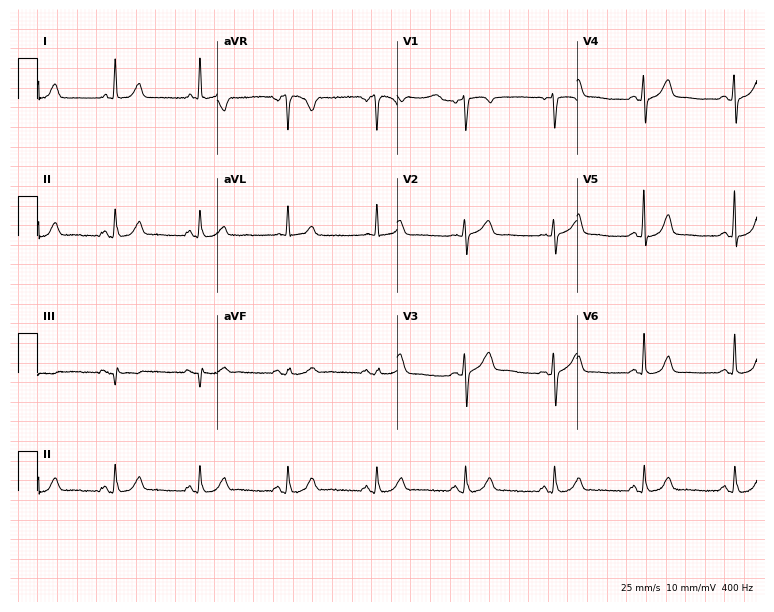
12-lead ECG (7.3-second recording at 400 Hz) from a woman, 57 years old. Screened for six findings — first-degree AV block, right bundle branch block, left bundle branch block, sinus bradycardia, atrial fibrillation, sinus tachycardia — none is recorded. Findings outside these six are not listed.